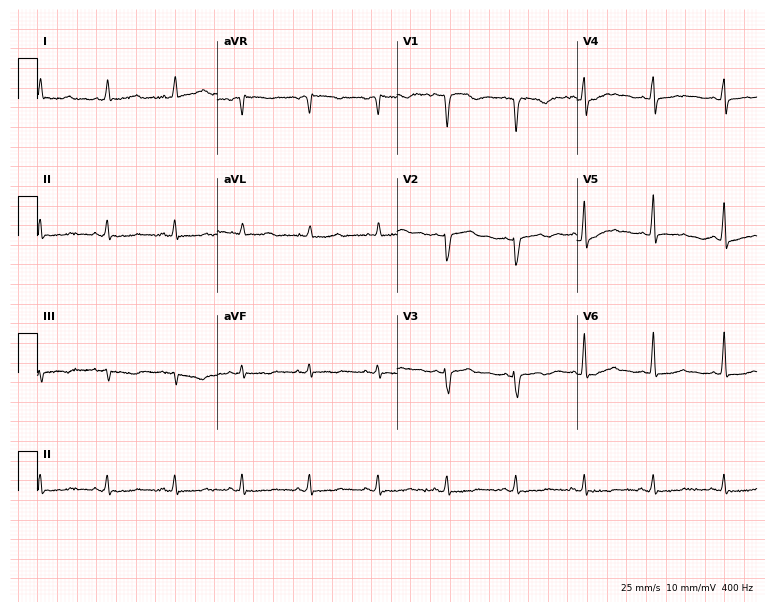
ECG (7.3-second recording at 400 Hz) — a female patient, 35 years old. Screened for six findings — first-degree AV block, right bundle branch block, left bundle branch block, sinus bradycardia, atrial fibrillation, sinus tachycardia — none is recorded. Other findings, if any, are not listed.